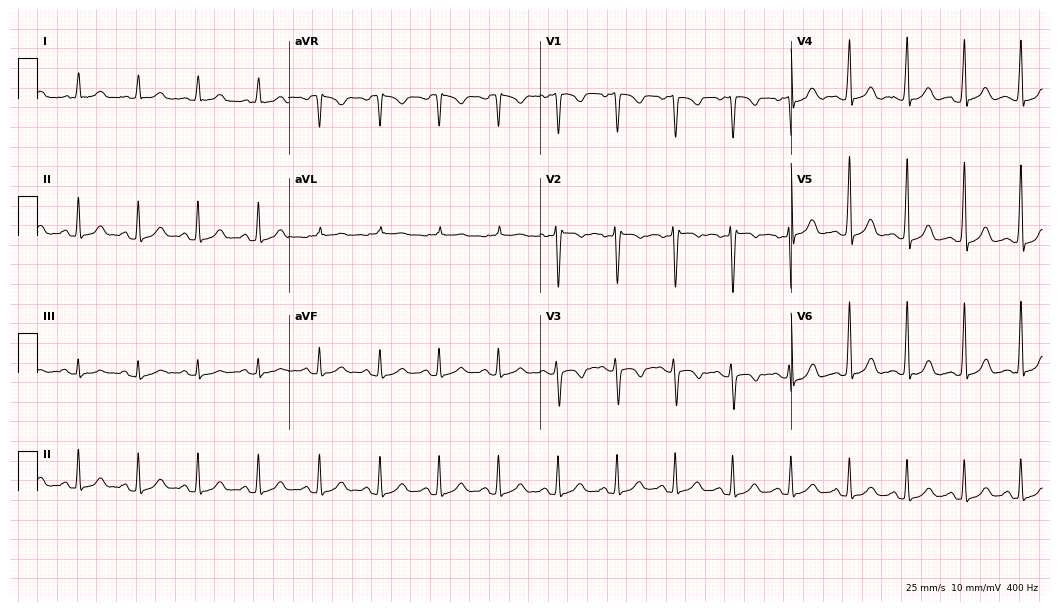
ECG — a 39-year-old woman. Screened for six findings — first-degree AV block, right bundle branch block (RBBB), left bundle branch block (LBBB), sinus bradycardia, atrial fibrillation (AF), sinus tachycardia — none is recorded.